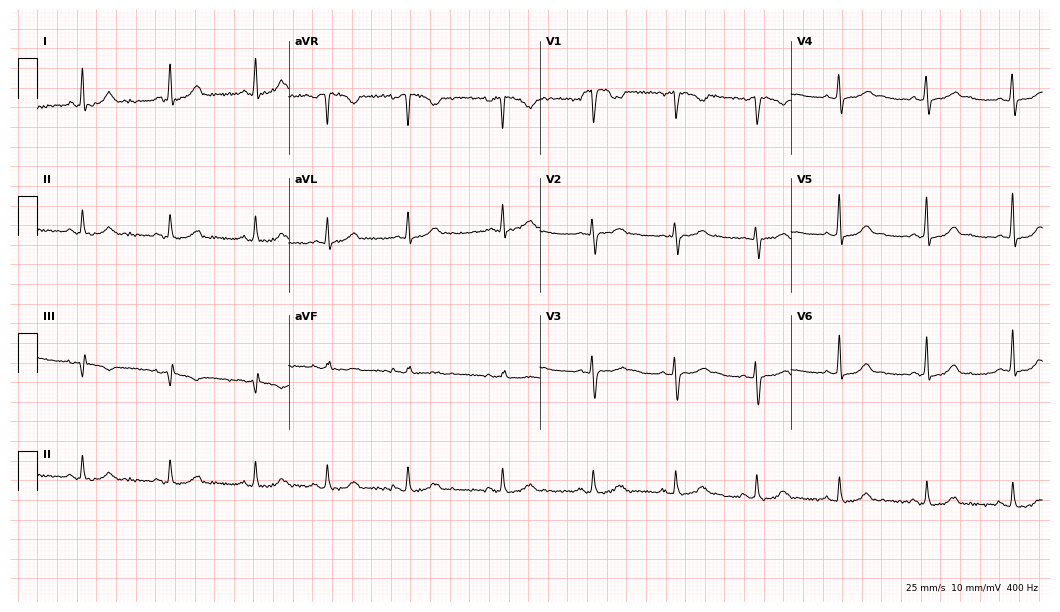
Resting 12-lead electrocardiogram. Patient: a 22-year-old female. Read as a normal ECG.